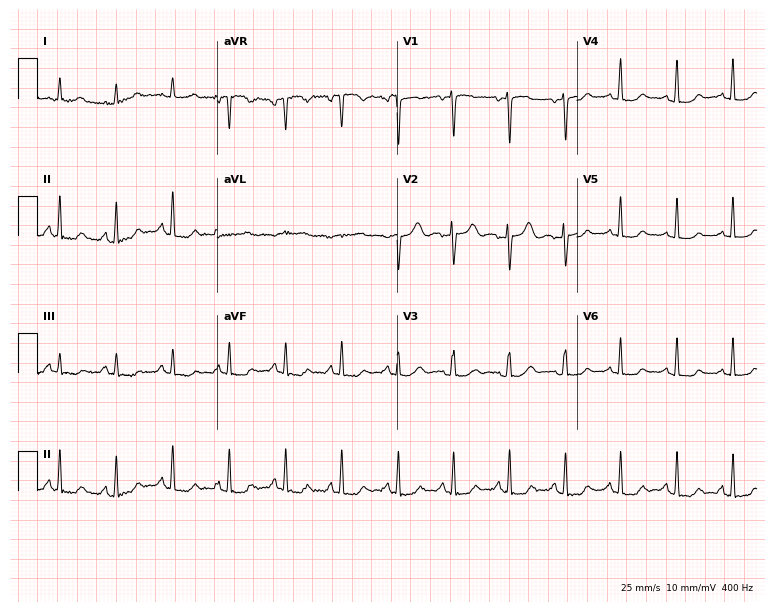
Resting 12-lead electrocardiogram. Patient: a 44-year-old female. Read as a normal ECG.